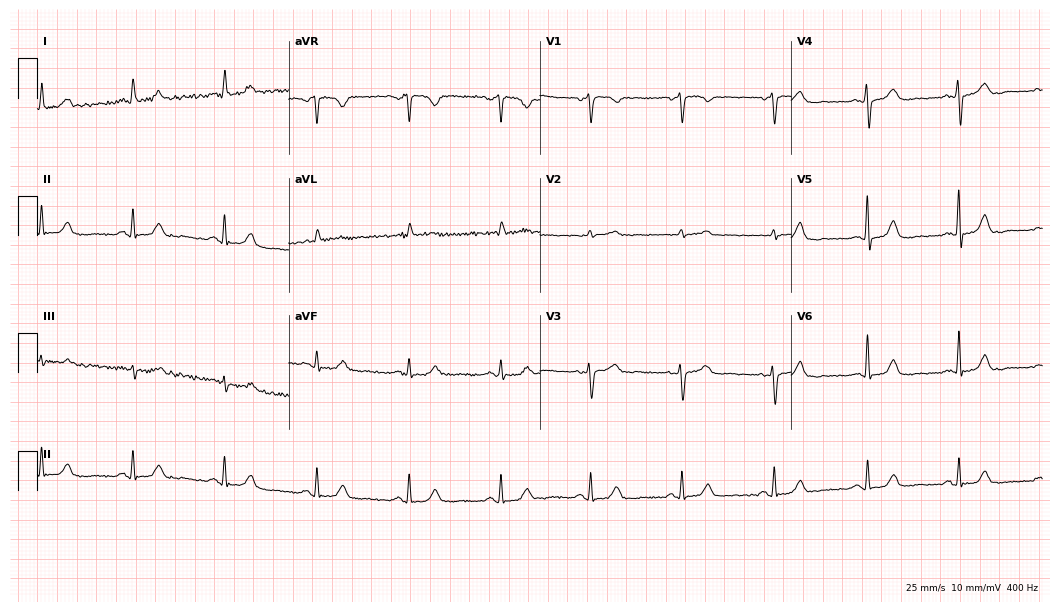
Resting 12-lead electrocardiogram. Patient: a female, 55 years old. Read as a normal ECG.